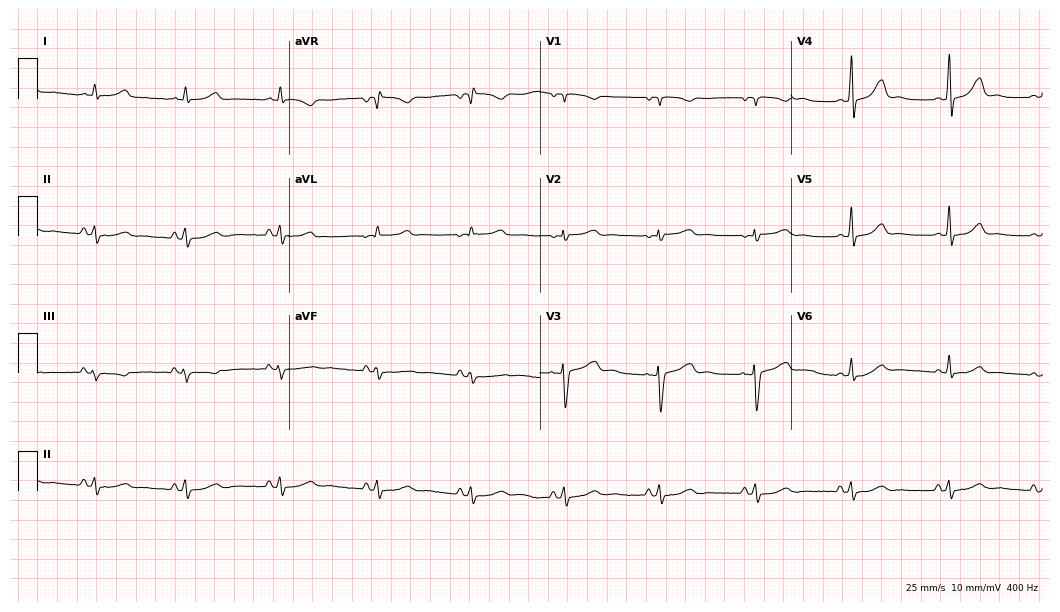
Resting 12-lead electrocardiogram. Patient: a female, 37 years old. Read as a normal ECG.